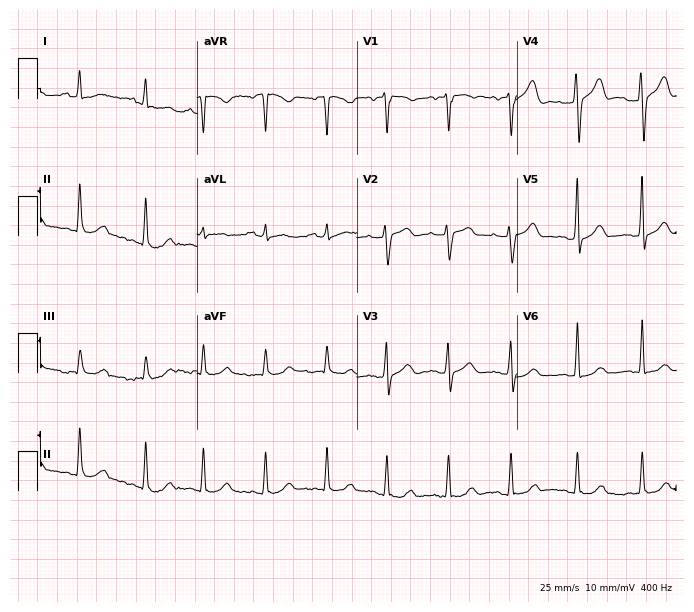
ECG (6.5-second recording at 400 Hz) — a 73-year-old woman. Screened for six findings — first-degree AV block, right bundle branch block, left bundle branch block, sinus bradycardia, atrial fibrillation, sinus tachycardia — none is recorded.